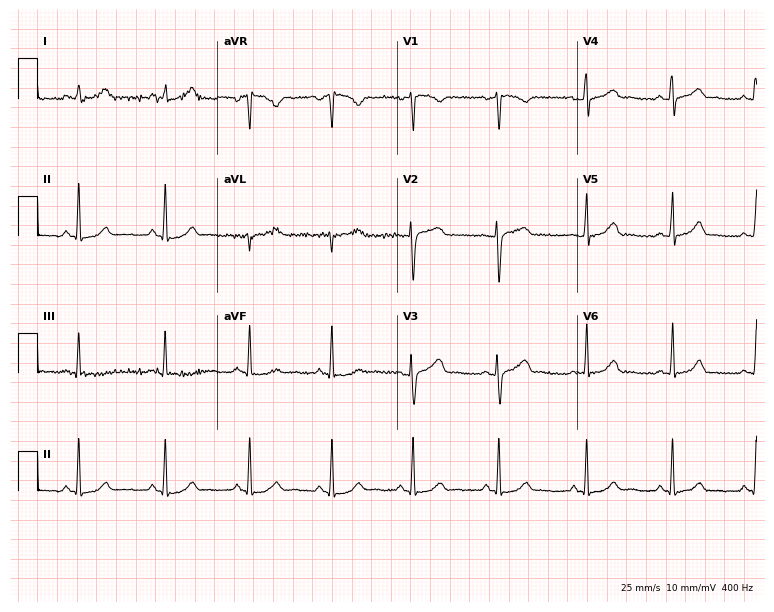
Standard 12-lead ECG recorded from a female, 28 years old (7.3-second recording at 400 Hz). Read as a normal ECG.